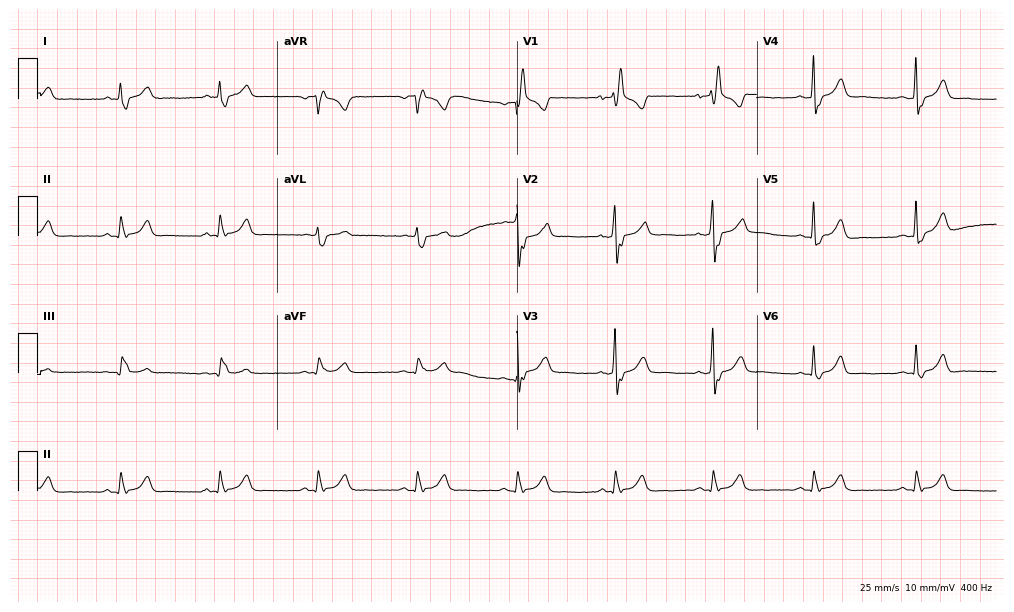
12-lead ECG from a 55-year-old male. Findings include right bundle branch block.